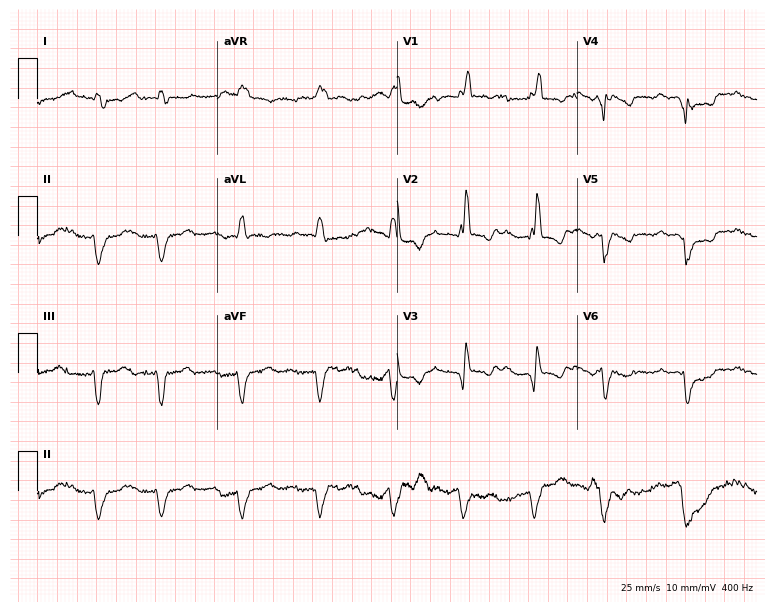
Resting 12-lead electrocardiogram. Patient: a male, 77 years old. None of these six findings is recorded: first-degree AV block, right bundle branch block, left bundle branch block, sinus bradycardia, atrial fibrillation, sinus tachycardia.